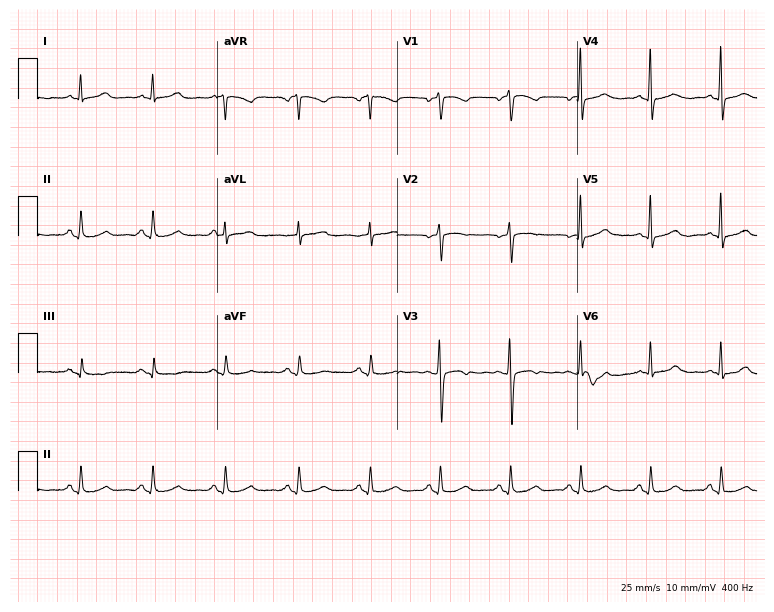
ECG (7.3-second recording at 400 Hz) — a male patient, 55 years old. Screened for six findings — first-degree AV block, right bundle branch block, left bundle branch block, sinus bradycardia, atrial fibrillation, sinus tachycardia — none is recorded.